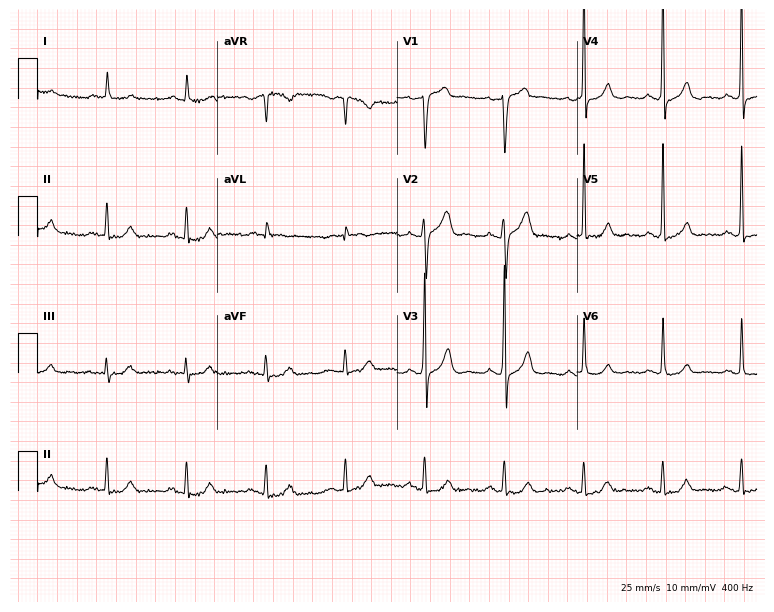
12-lead ECG (7.3-second recording at 400 Hz) from a 76-year-old woman. Labelled as a normal ECG.